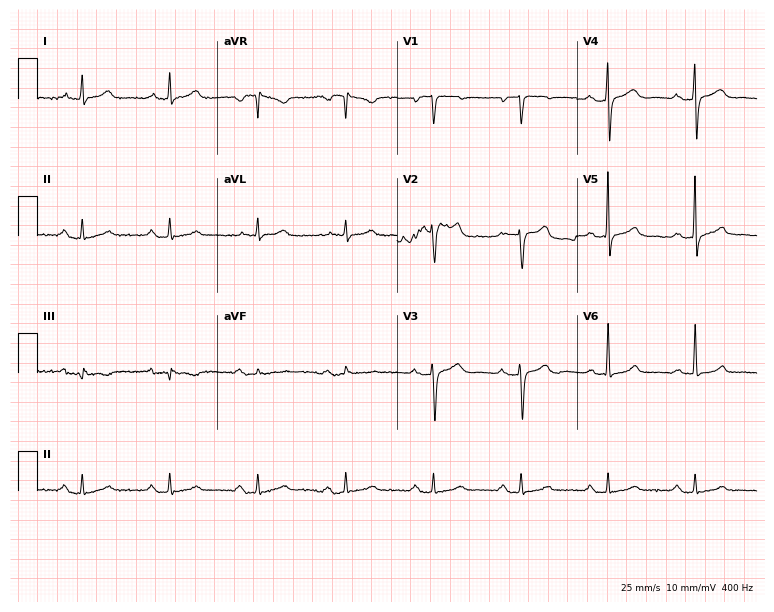
12-lead ECG (7.3-second recording at 400 Hz) from a 69-year-old man. Screened for six findings — first-degree AV block, right bundle branch block (RBBB), left bundle branch block (LBBB), sinus bradycardia, atrial fibrillation (AF), sinus tachycardia — none is recorded.